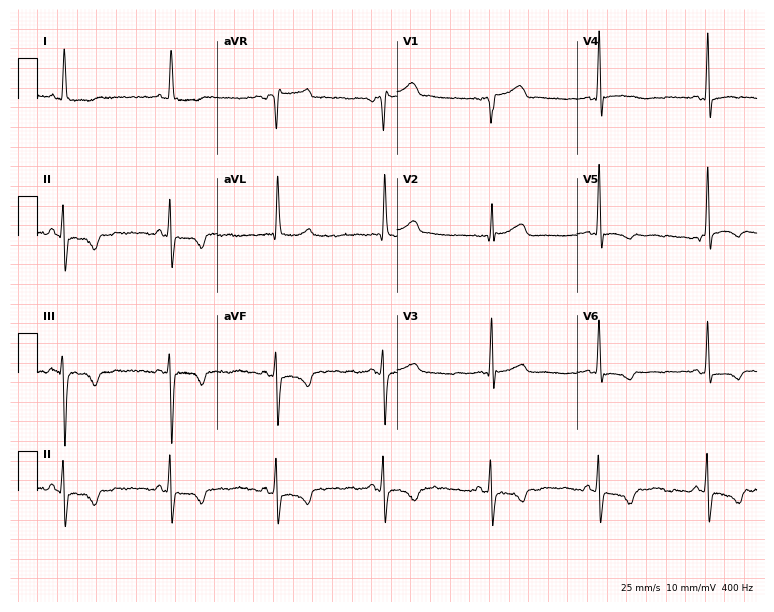
Standard 12-lead ECG recorded from a man, 71 years old. None of these six findings is recorded: first-degree AV block, right bundle branch block, left bundle branch block, sinus bradycardia, atrial fibrillation, sinus tachycardia. Findings outside these six are not listed.